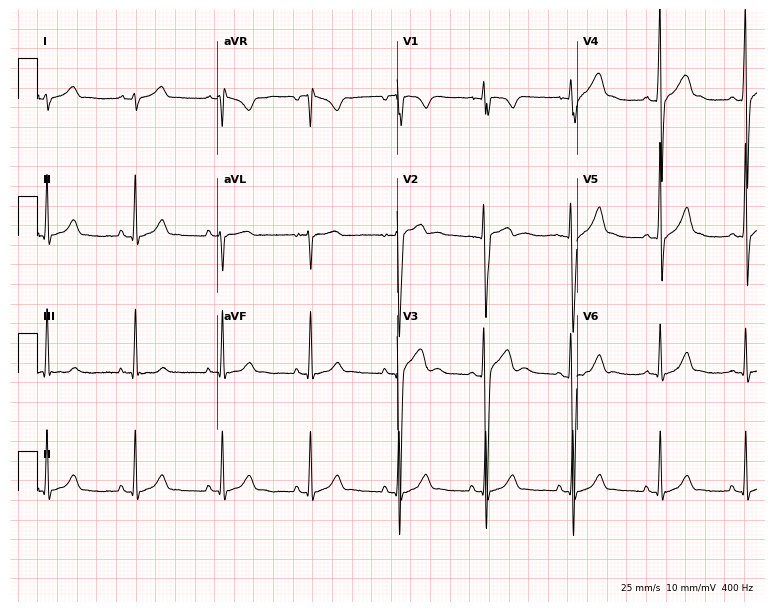
ECG (7.3-second recording at 400 Hz) — a male patient, 17 years old. Labelled as a normal ECG.